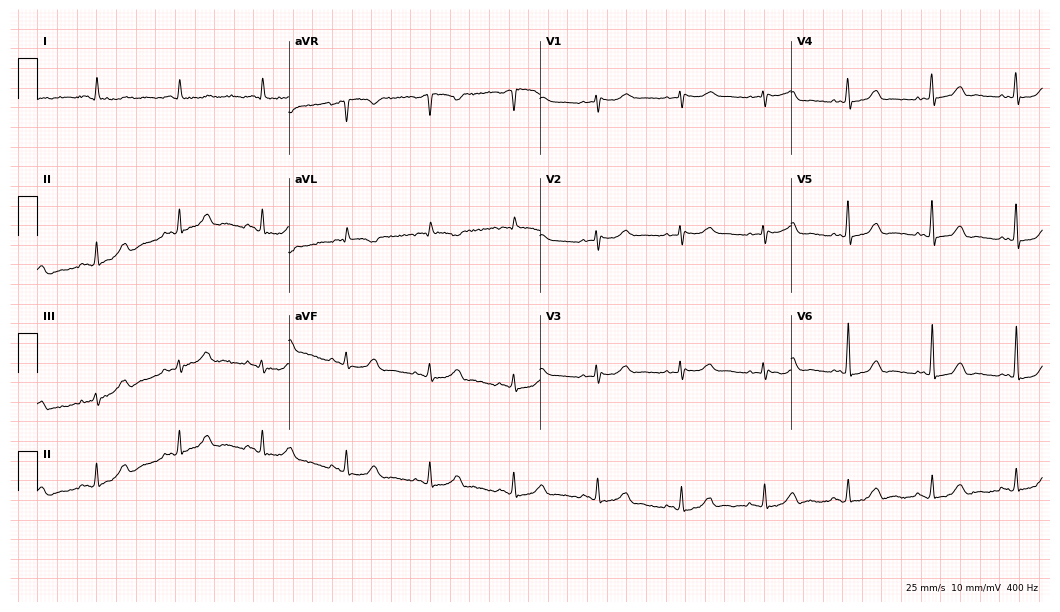
Standard 12-lead ECG recorded from an 82-year-old woman (10.2-second recording at 400 Hz). Read as a normal ECG.